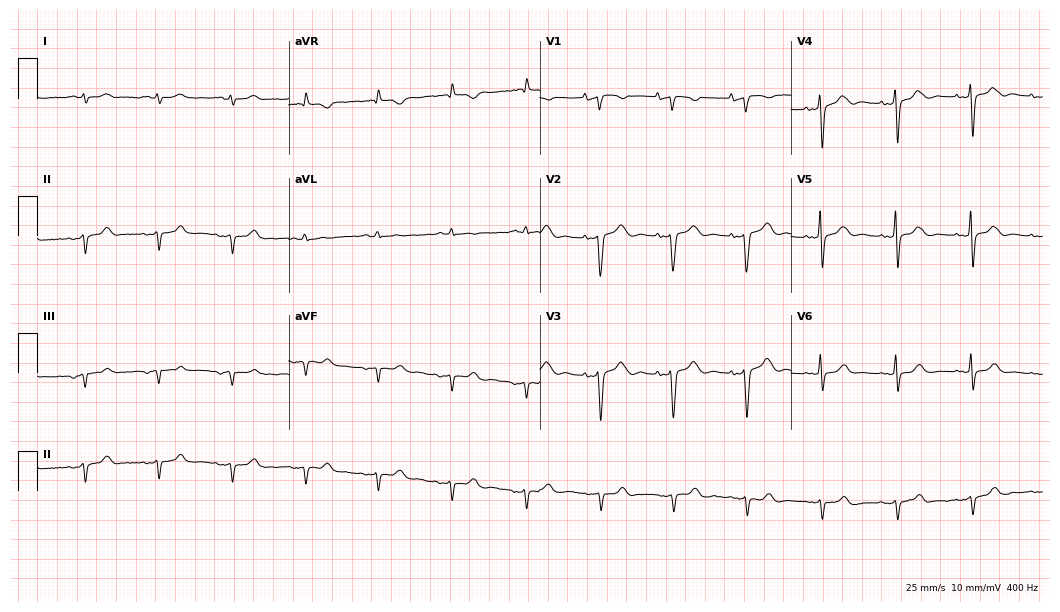
12-lead ECG from a 68-year-old female (10.2-second recording at 400 Hz). No first-degree AV block, right bundle branch block (RBBB), left bundle branch block (LBBB), sinus bradycardia, atrial fibrillation (AF) or sinus tachycardia recorded for this tracing. Findings outside these six are not listed.